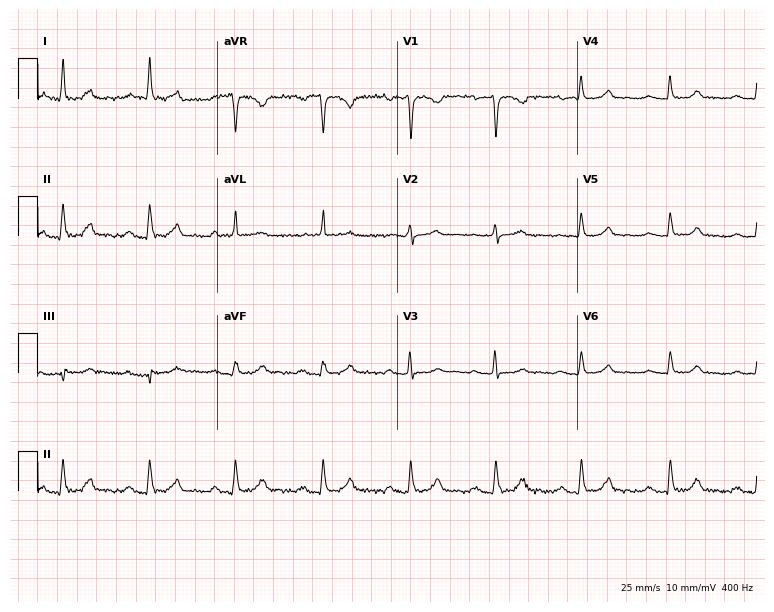
Standard 12-lead ECG recorded from a female, 54 years old. Read as a normal ECG.